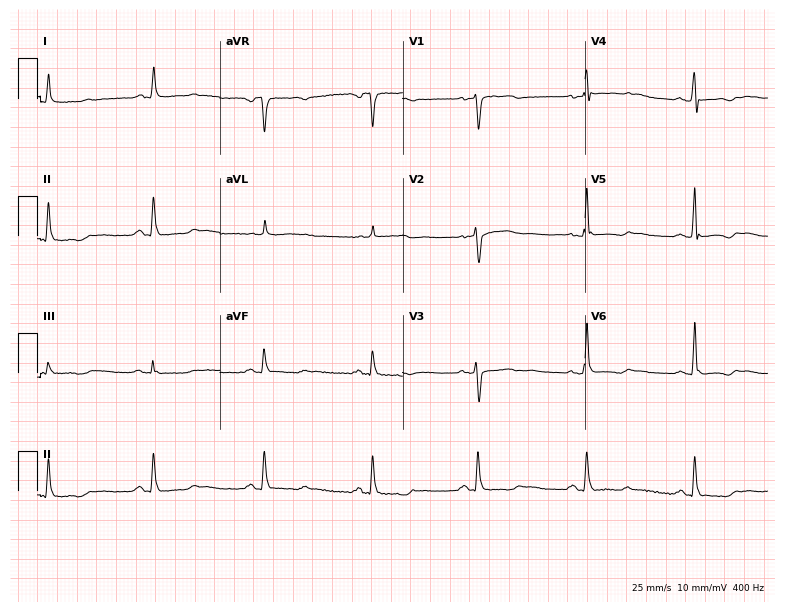
Standard 12-lead ECG recorded from a 55-year-old woman. None of these six findings is recorded: first-degree AV block, right bundle branch block (RBBB), left bundle branch block (LBBB), sinus bradycardia, atrial fibrillation (AF), sinus tachycardia.